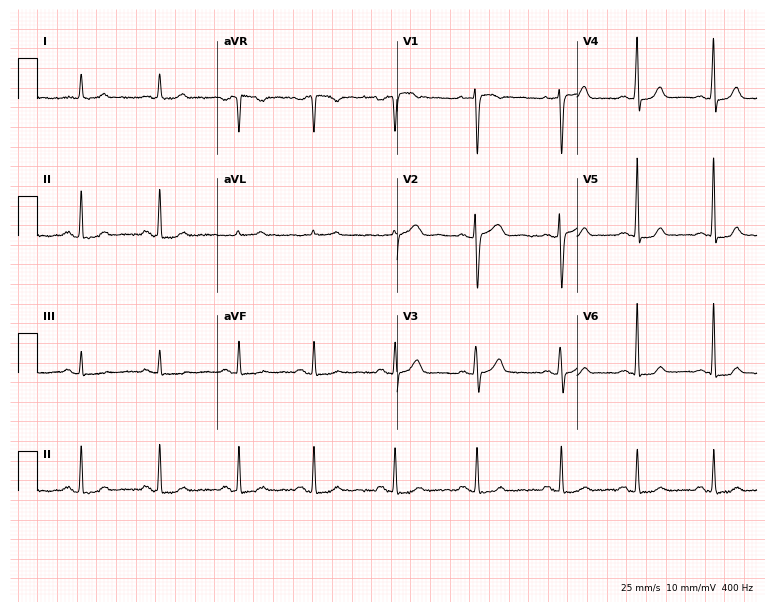
12-lead ECG from a female, 47 years old. Recorded interpretation: within normal limits.